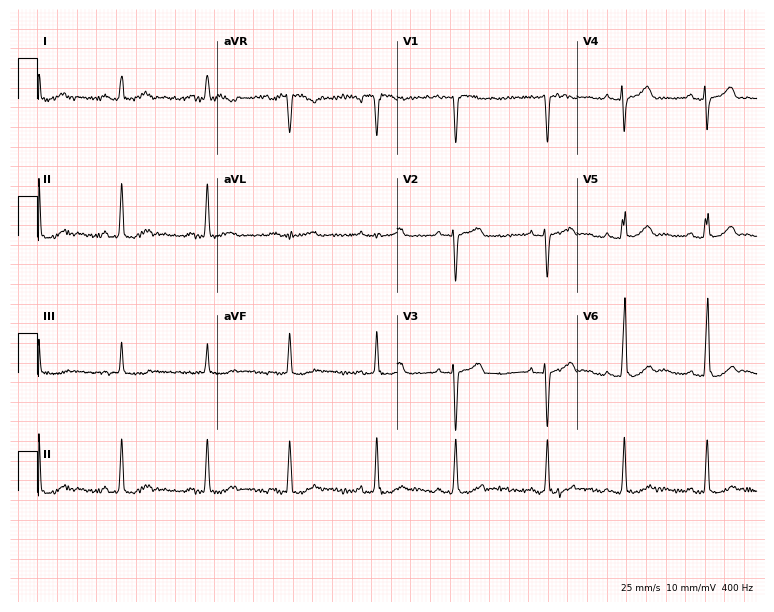
12-lead ECG from a female patient, 26 years old. Labelled as a normal ECG.